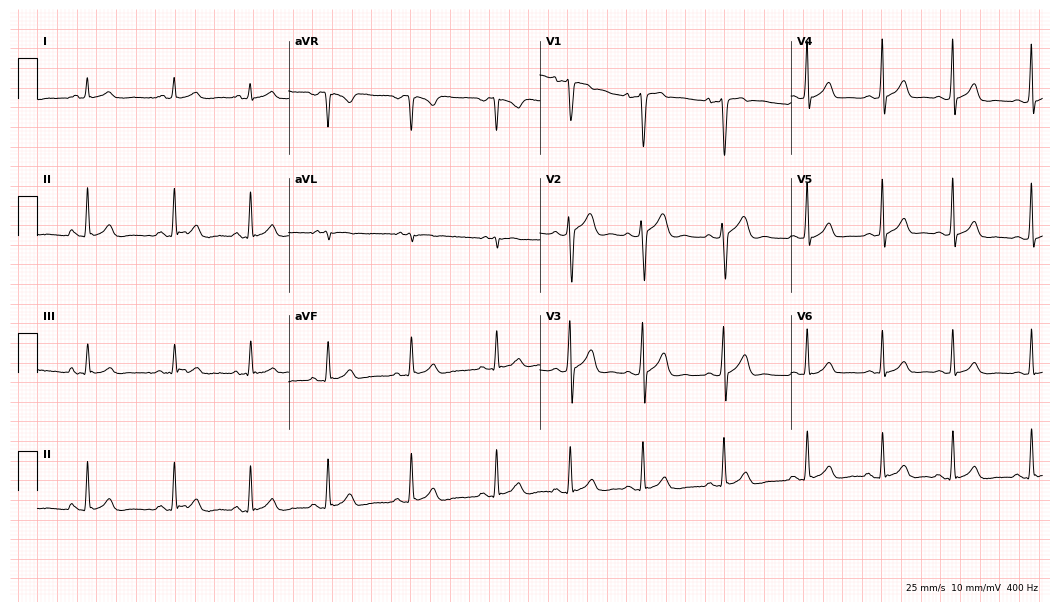
12-lead ECG from a man, 20 years old. Recorded interpretation: within normal limits.